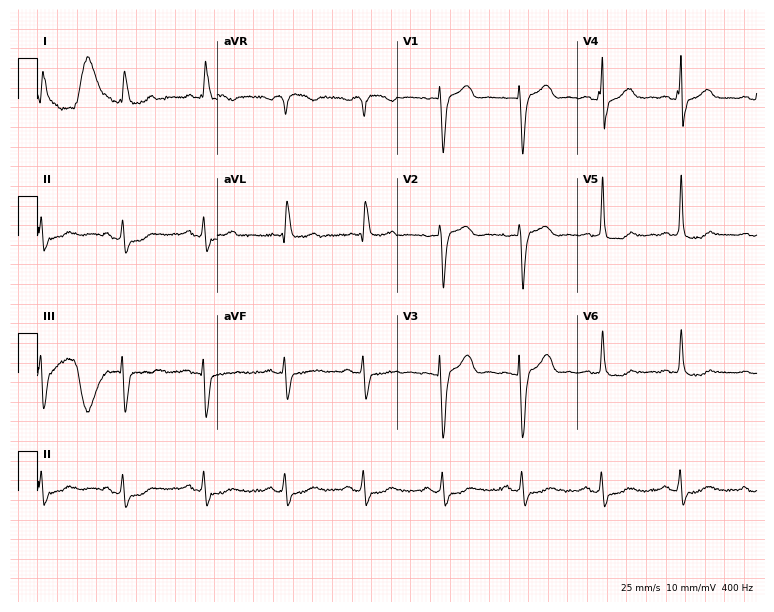
ECG — a 76-year-old female patient. Screened for six findings — first-degree AV block, right bundle branch block (RBBB), left bundle branch block (LBBB), sinus bradycardia, atrial fibrillation (AF), sinus tachycardia — none is recorded.